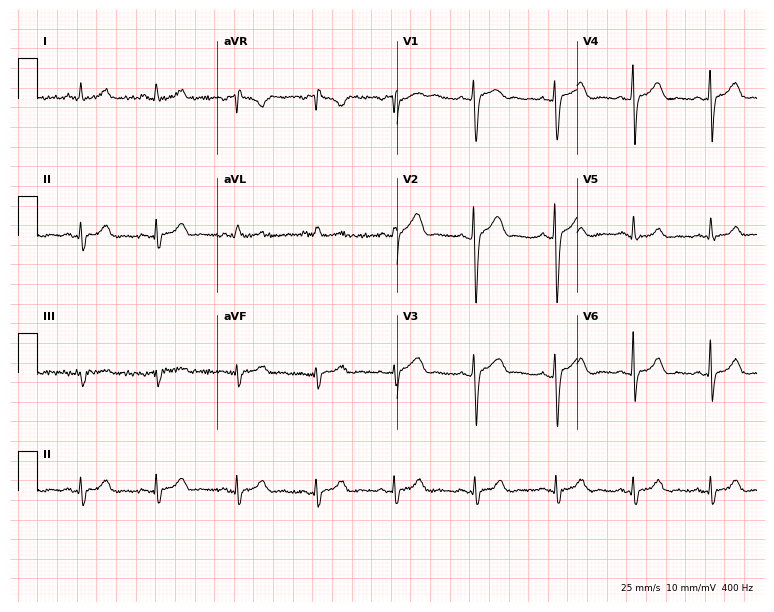
12-lead ECG from a 56-year-old female (7.3-second recording at 400 Hz). Recorded interpretation: within normal limits.